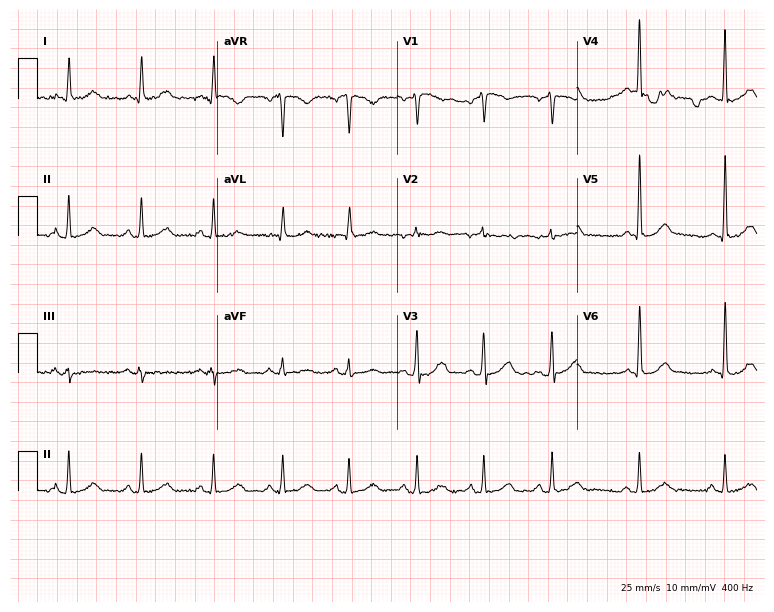
ECG — a male, 48 years old. Labelled as a normal ECG.